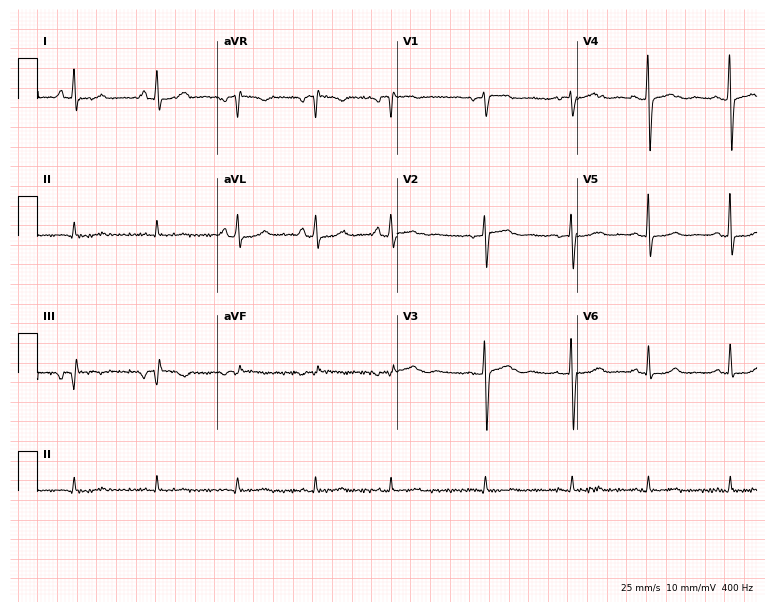
12-lead ECG from a woman, 41 years old. Screened for six findings — first-degree AV block, right bundle branch block, left bundle branch block, sinus bradycardia, atrial fibrillation, sinus tachycardia — none is recorded.